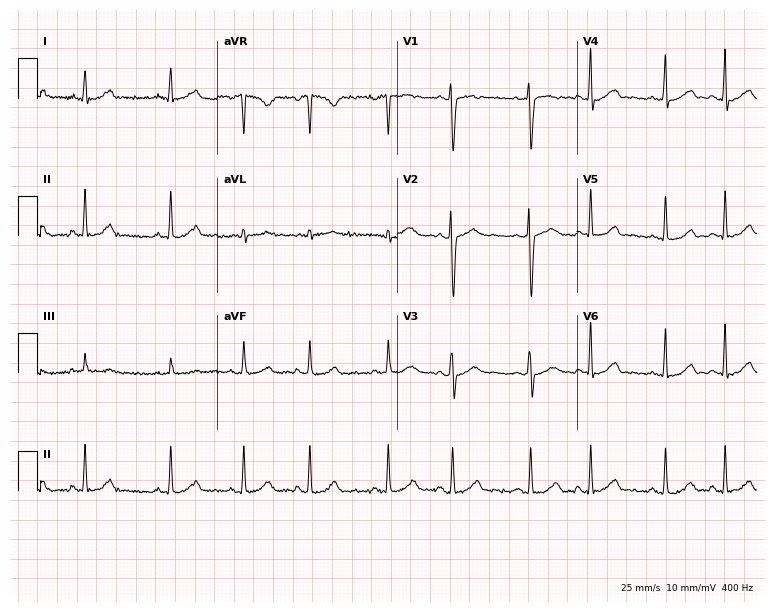
Resting 12-lead electrocardiogram (7.3-second recording at 400 Hz). Patient: a woman, 27 years old. None of these six findings is recorded: first-degree AV block, right bundle branch block, left bundle branch block, sinus bradycardia, atrial fibrillation, sinus tachycardia.